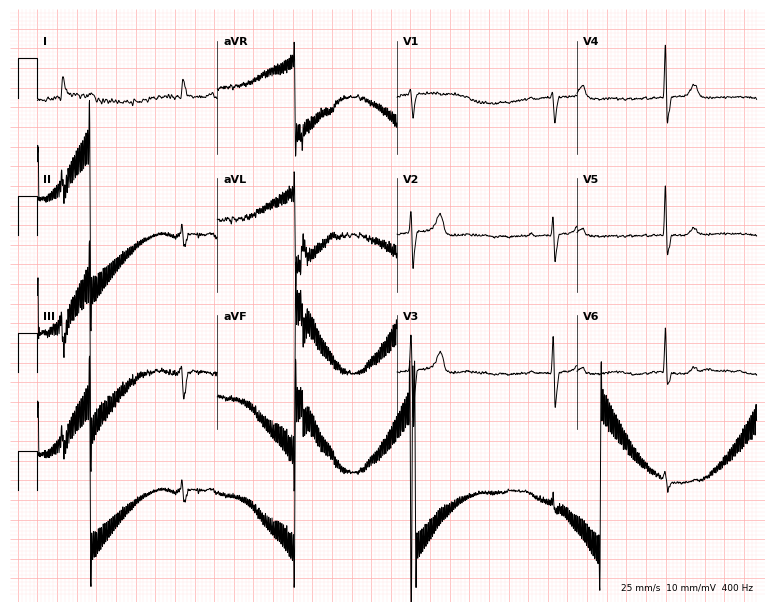
12-lead ECG from an 81-year-old male. No first-degree AV block, right bundle branch block (RBBB), left bundle branch block (LBBB), sinus bradycardia, atrial fibrillation (AF) or sinus tachycardia recorded for this tracing.